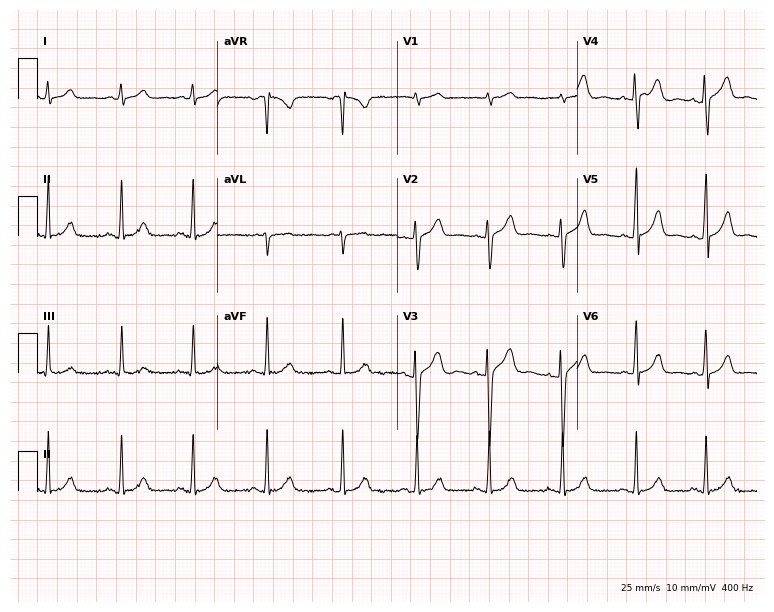
12-lead ECG from a 45-year-old woman. Labelled as a normal ECG.